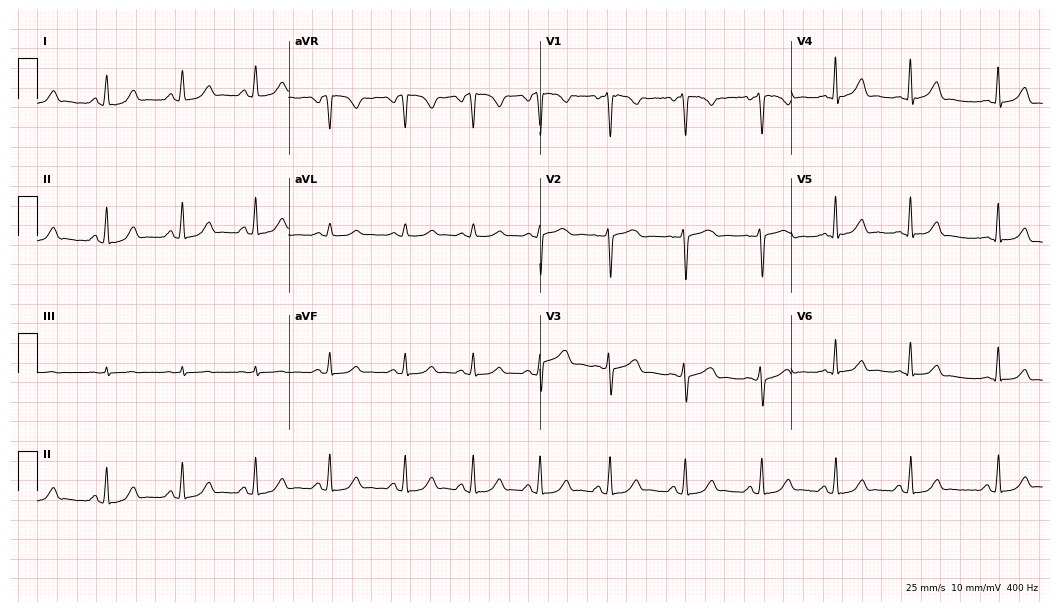
12-lead ECG from a female patient, 20 years old (10.2-second recording at 400 Hz). Recorded interpretation: within normal limits.